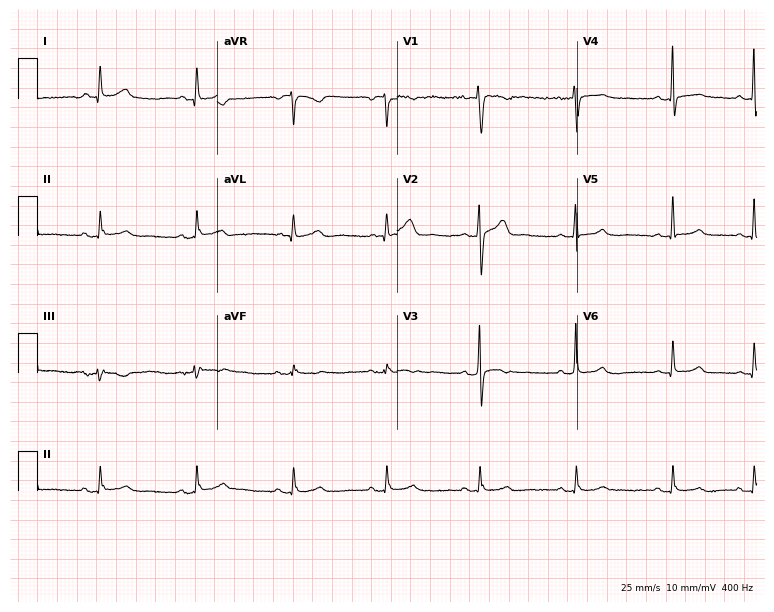
Standard 12-lead ECG recorded from a 41-year-old male patient. Read as a normal ECG.